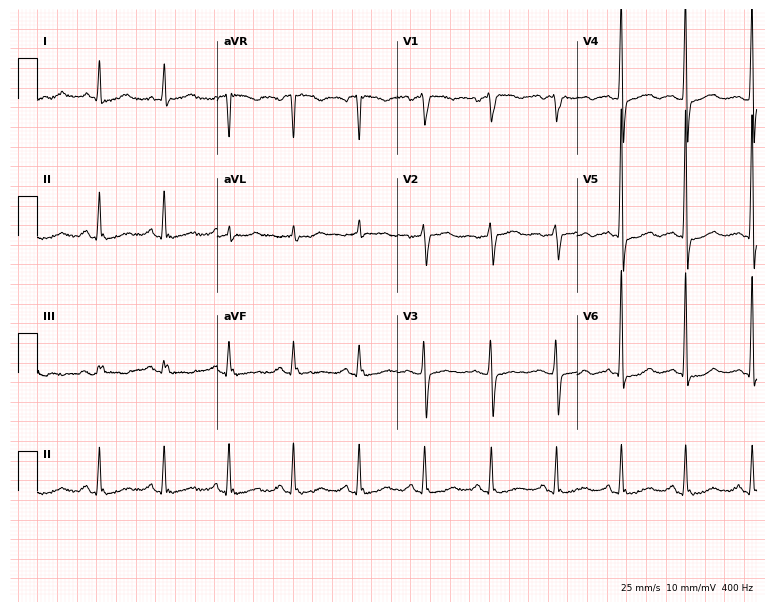
12-lead ECG from a 79-year-old female. Screened for six findings — first-degree AV block, right bundle branch block, left bundle branch block, sinus bradycardia, atrial fibrillation, sinus tachycardia — none is recorded.